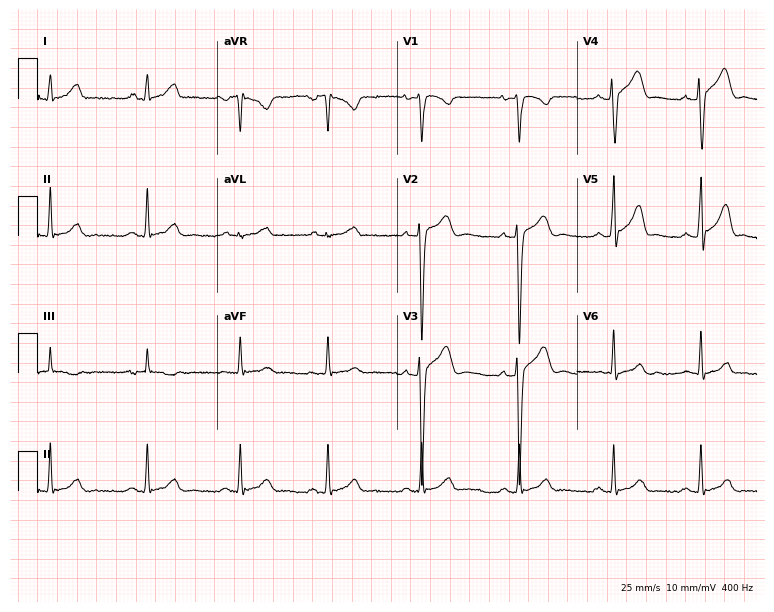
Electrocardiogram, a 28-year-old man. Overall reading on record: normal ECG.